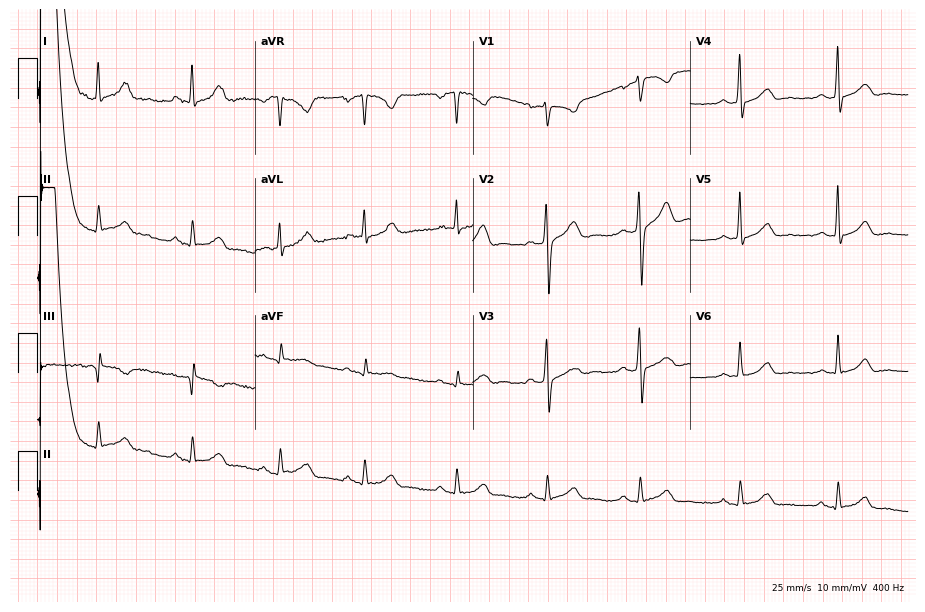
Resting 12-lead electrocardiogram (8.9-second recording at 400 Hz). Patient: a 47-year-old male. Read as a normal ECG.